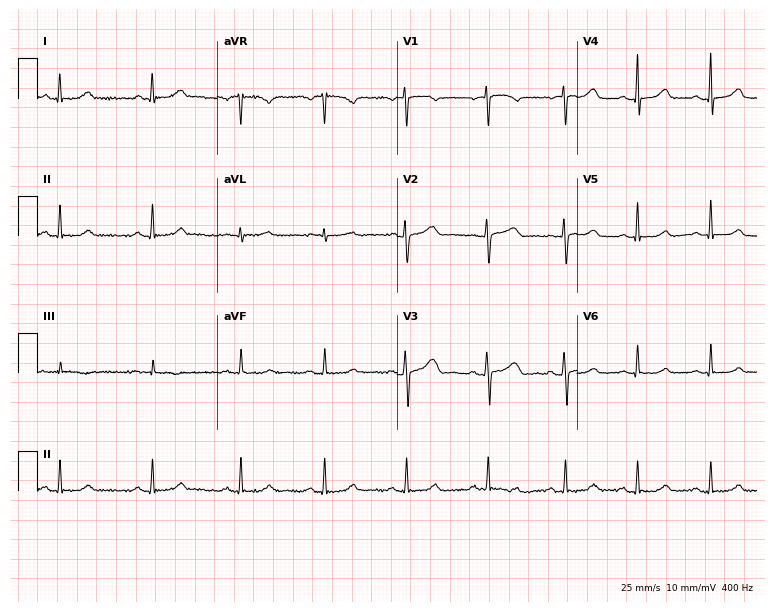
Resting 12-lead electrocardiogram (7.3-second recording at 400 Hz). Patient: a 46-year-old female. Read as a normal ECG.